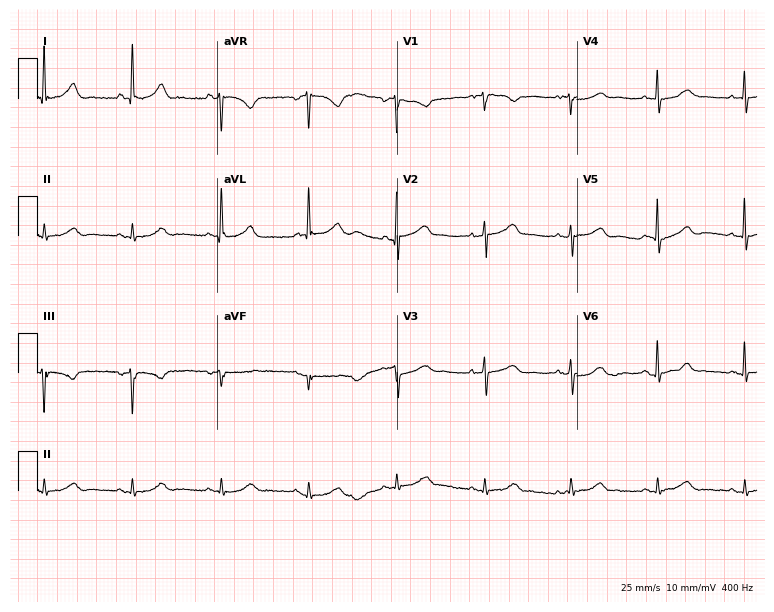
Standard 12-lead ECG recorded from a 68-year-old woman (7.3-second recording at 400 Hz). Read as a normal ECG.